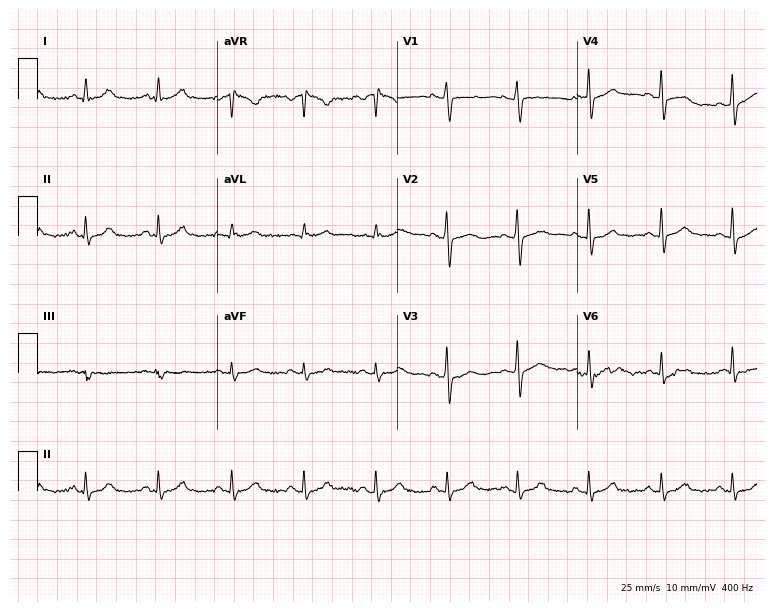
Resting 12-lead electrocardiogram. Patient: a 60-year-old female. Read as a normal ECG.